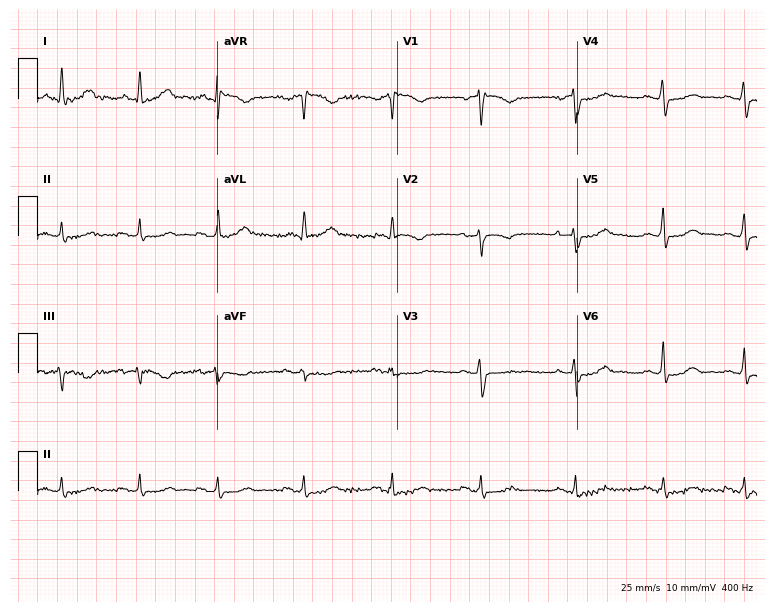
Standard 12-lead ECG recorded from a 69-year-old woman. Read as a normal ECG.